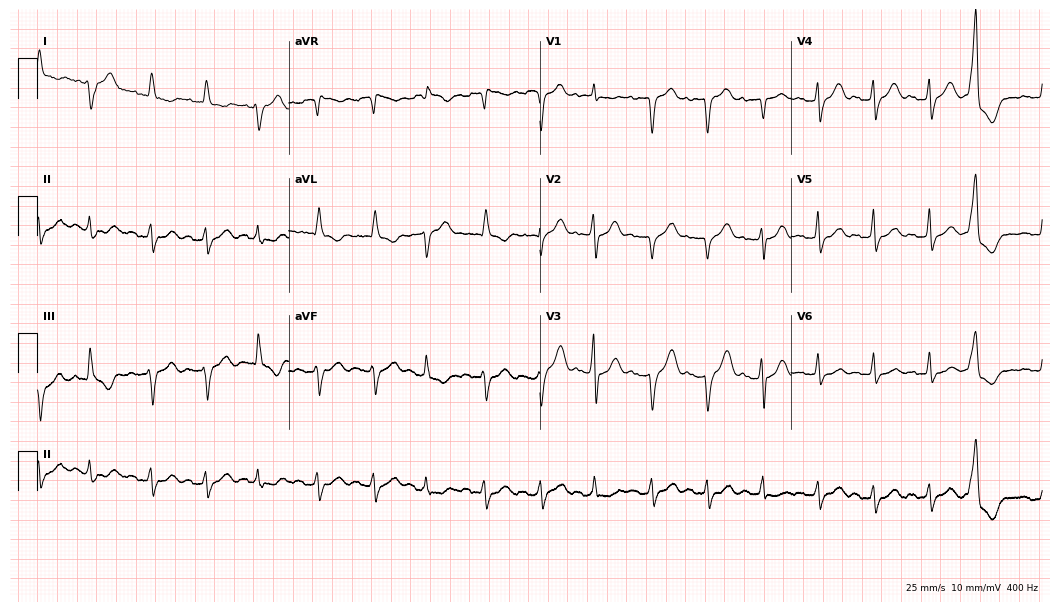
ECG (10.2-second recording at 400 Hz) — a female patient, 85 years old. Findings include sinus tachycardia (a sinus rate of 100 beats per minute or more).